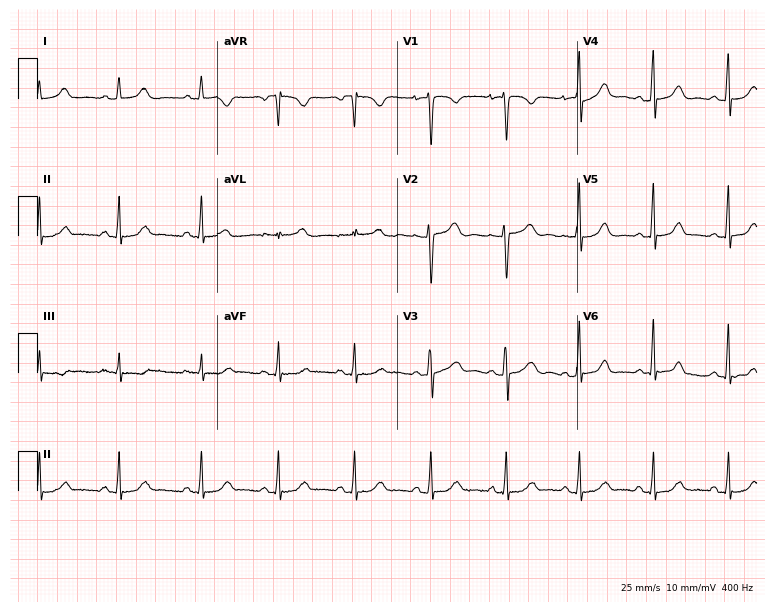
ECG — a female, 29 years old. Labelled as a normal ECG.